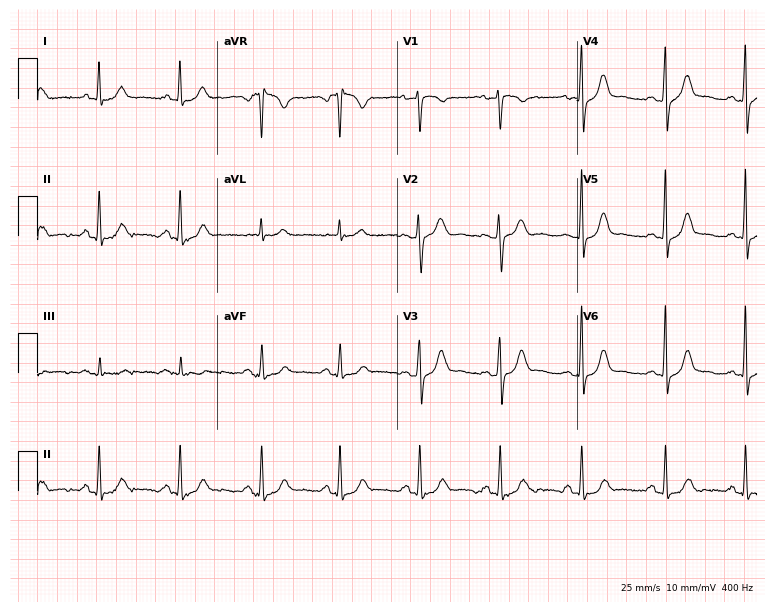
Standard 12-lead ECG recorded from a woman, 37 years old. None of these six findings is recorded: first-degree AV block, right bundle branch block (RBBB), left bundle branch block (LBBB), sinus bradycardia, atrial fibrillation (AF), sinus tachycardia.